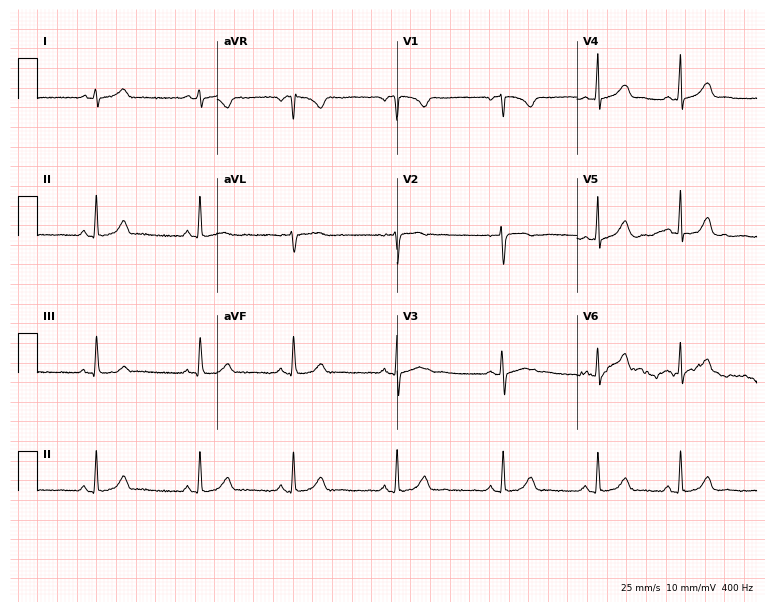
ECG (7.3-second recording at 400 Hz) — a 22-year-old woman. Screened for six findings — first-degree AV block, right bundle branch block, left bundle branch block, sinus bradycardia, atrial fibrillation, sinus tachycardia — none is recorded.